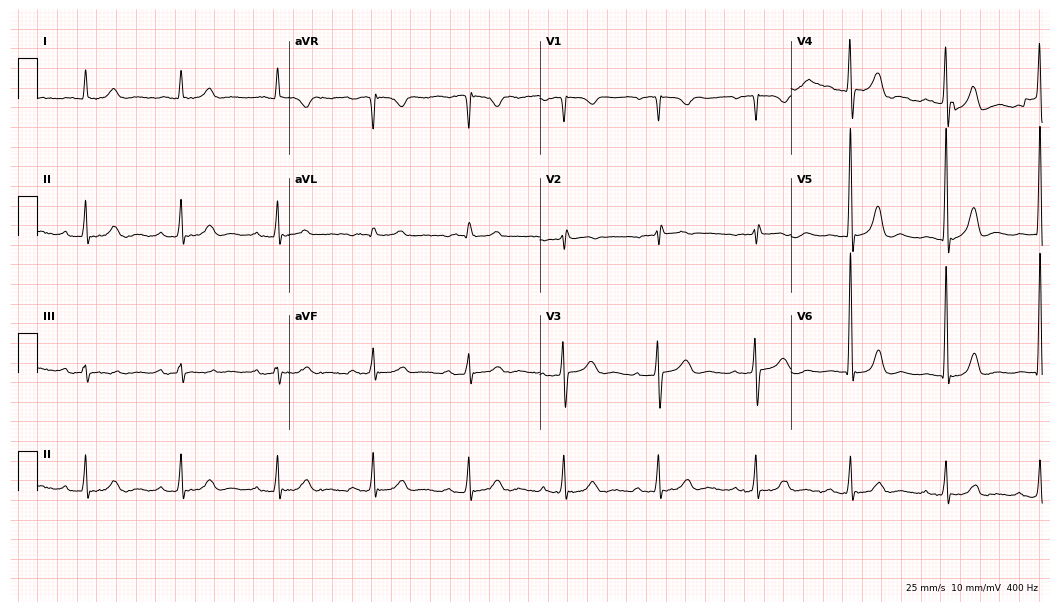
12-lead ECG (10.2-second recording at 400 Hz) from a female patient, 69 years old. Findings include first-degree AV block.